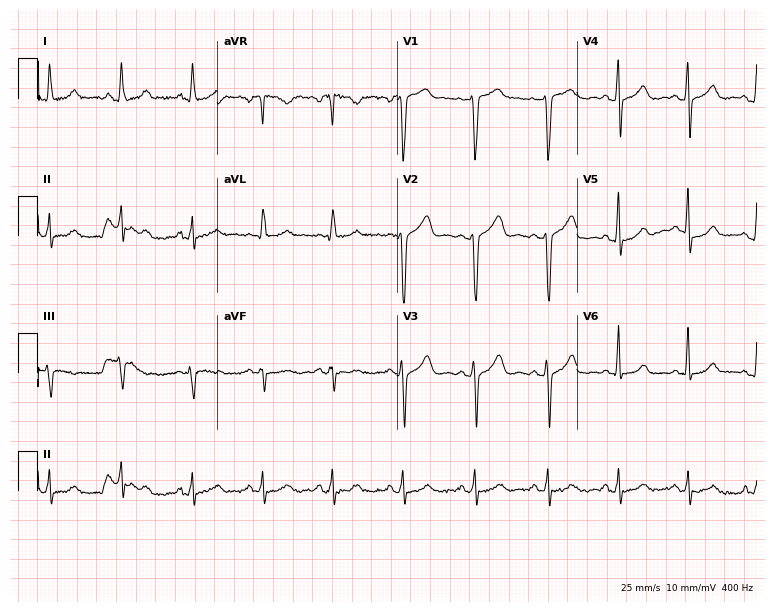
12-lead ECG from a 45-year-old female. Screened for six findings — first-degree AV block, right bundle branch block, left bundle branch block, sinus bradycardia, atrial fibrillation, sinus tachycardia — none is recorded. Only these six findings were labelled.